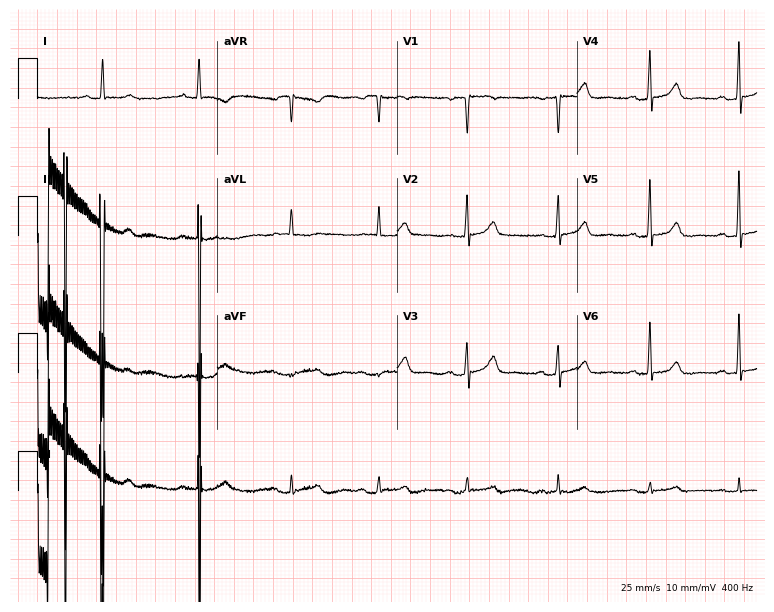
12-lead ECG from a female, 53 years old (7.3-second recording at 400 Hz). No first-degree AV block, right bundle branch block (RBBB), left bundle branch block (LBBB), sinus bradycardia, atrial fibrillation (AF) or sinus tachycardia recorded for this tracing.